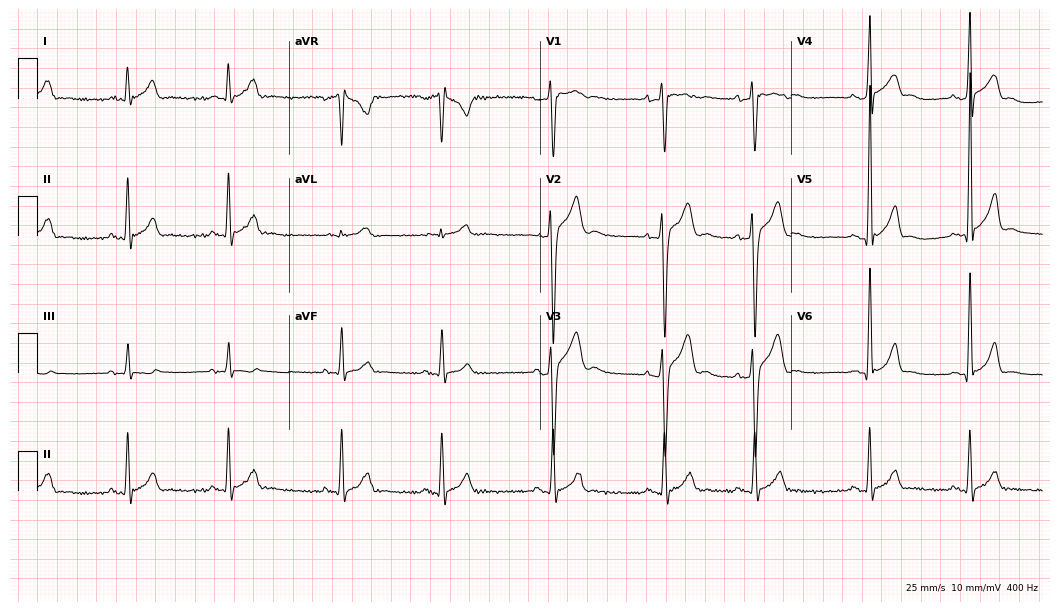
ECG (10.2-second recording at 400 Hz) — a male patient, 18 years old. Screened for six findings — first-degree AV block, right bundle branch block, left bundle branch block, sinus bradycardia, atrial fibrillation, sinus tachycardia — none is recorded. Only these six findings were labelled.